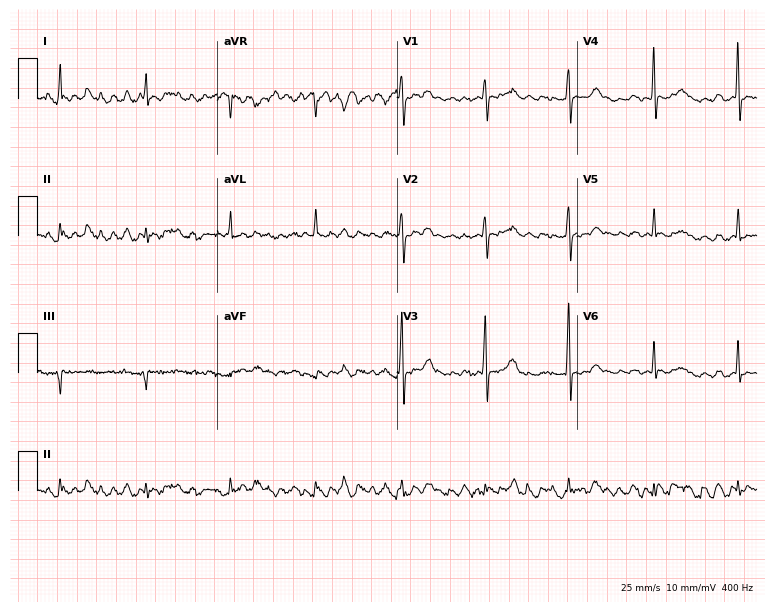
Resting 12-lead electrocardiogram. Patient: a female, 79 years old. None of these six findings is recorded: first-degree AV block, right bundle branch block, left bundle branch block, sinus bradycardia, atrial fibrillation, sinus tachycardia. Findings outside these six are not listed.